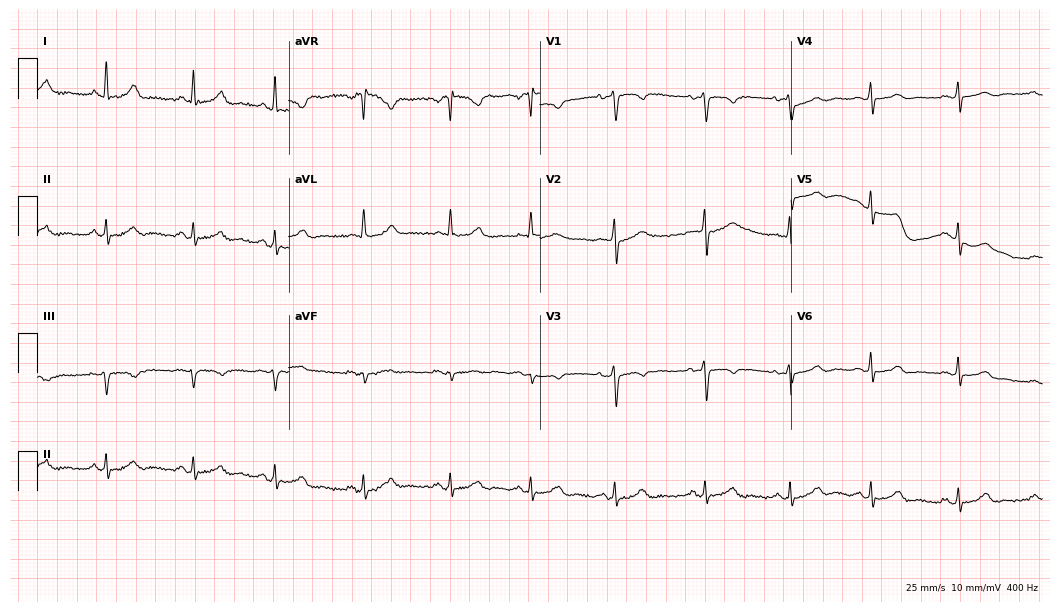
12-lead ECG (10.2-second recording at 400 Hz) from a 36-year-old female. Screened for six findings — first-degree AV block, right bundle branch block (RBBB), left bundle branch block (LBBB), sinus bradycardia, atrial fibrillation (AF), sinus tachycardia — none is recorded.